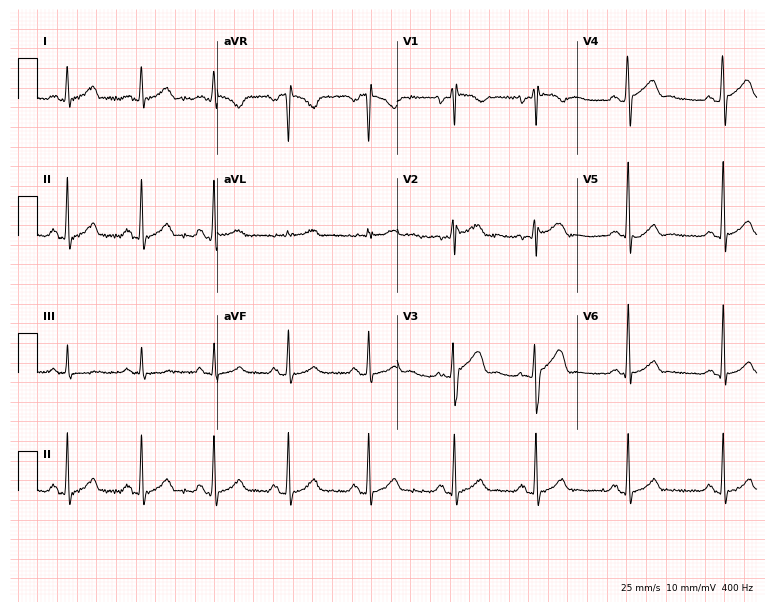
Standard 12-lead ECG recorded from a man, 18 years old (7.3-second recording at 400 Hz). None of these six findings is recorded: first-degree AV block, right bundle branch block, left bundle branch block, sinus bradycardia, atrial fibrillation, sinus tachycardia. Findings outside these six are not listed.